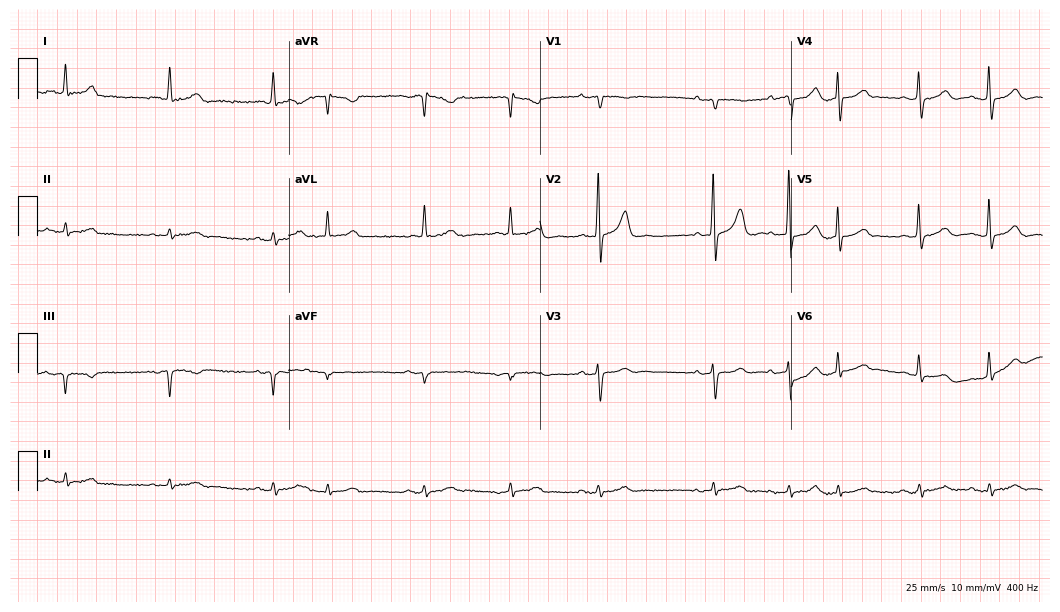
ECG (10.2-second recording at 400 Hz) — an 84-year-old female patient. Screened for six findings — first-degree AV block, right bundle branch block (RBBB), left bundle branch block (LBBB), sinus bradycardia, atrial fibrillation (AF), sinus tachycardia — none is recorded. Only these six findings were labelled.